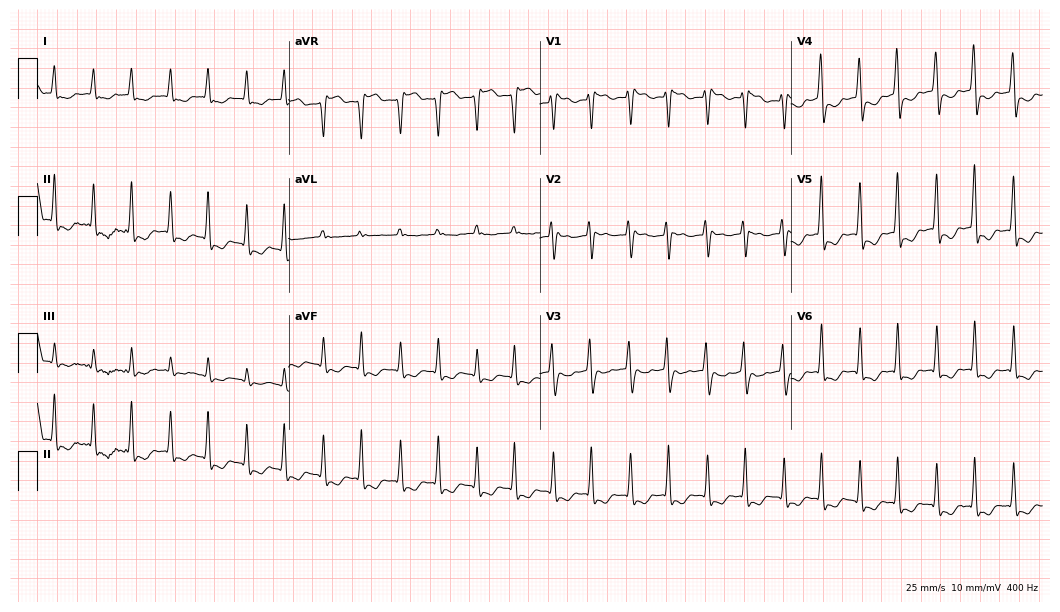
Standard 12-lead ECG recorded from a 51-year-old woman. The tracing shows sinus tachycardia (a sinus rate of 100 beats per minute or more).